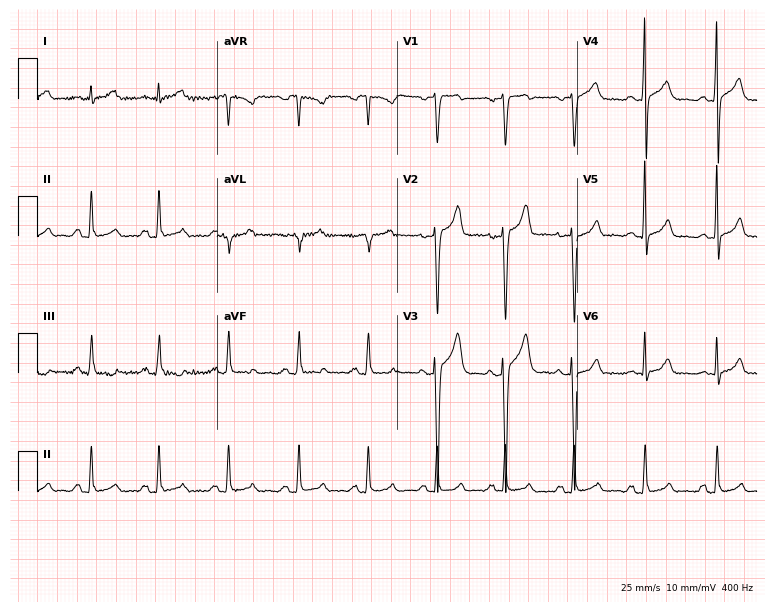
12-lead ECG from a 39-year-old male patient (7.3-second recording at 400 Hz). Recorded interpretation: within normal limits.